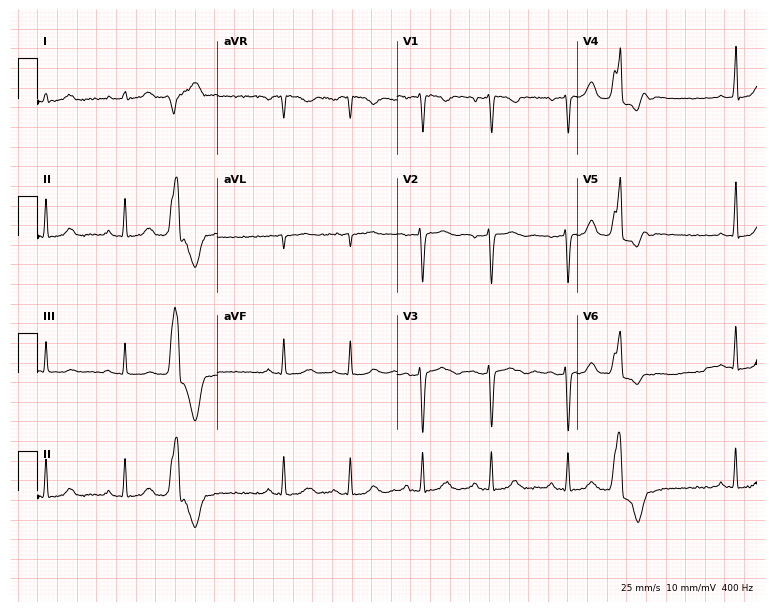
12-lead ECG from a 35-year-old female. Screened for six findings — first-degree AV block, right bundle branch block (RBBB), left bundle branch block (LBBB), sinus bradycardia, atrial fibrillation (AF), sinus tachycardia — none is recorded.